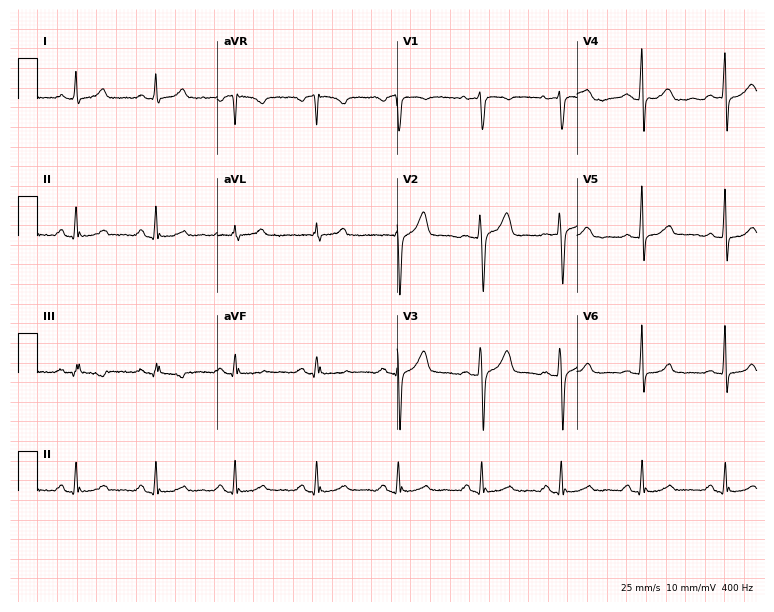
12-lead ECG from a female, 38 years old (7.3-second recording at 400 Hz). Recorded interpretation: within normal limits.